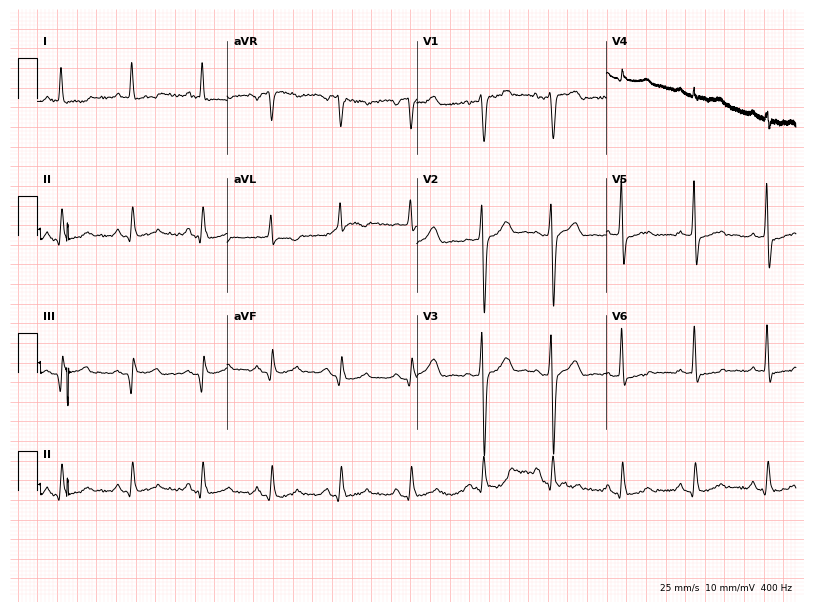
Electrocardiogram, a 68-year-old woman. Of the six screened findings (first-degree AV block, right bundle branch block, left bundle branch block, sinus bradycardia, atrial fibrillation, sinus tachycardia), none is recorded. Only these six findings were labelled.